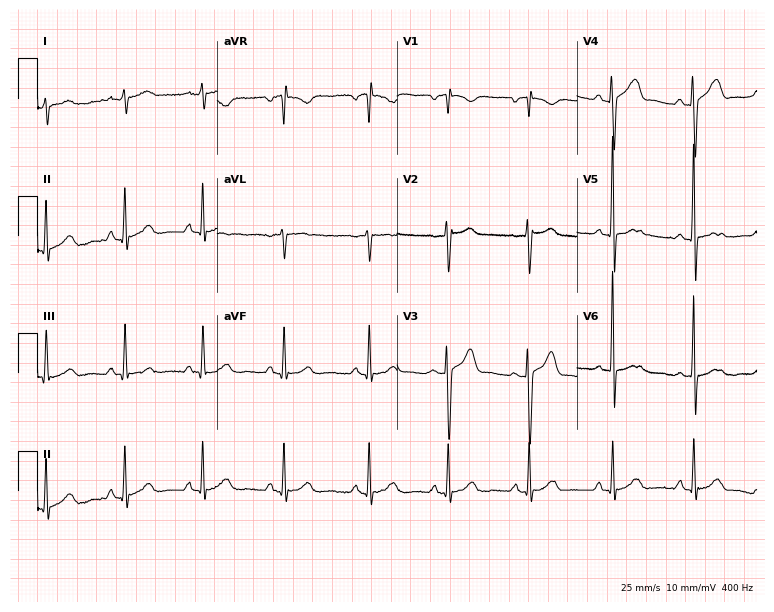
12-lead ECG (7.3-second recording at 400 Hz) from a man, 51 years old. Labelled as a normal ECG.